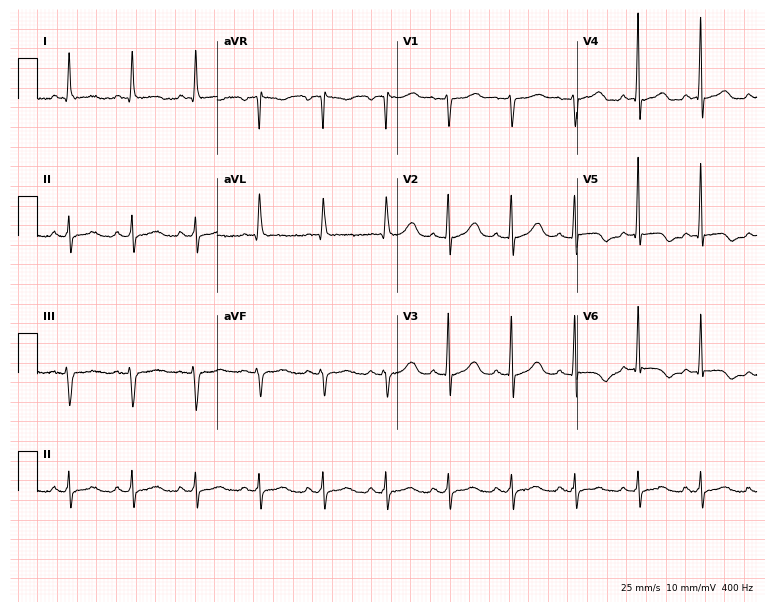
12-lead ECG from an 86-year-old woman. Recorded interpretation: within normal limits.